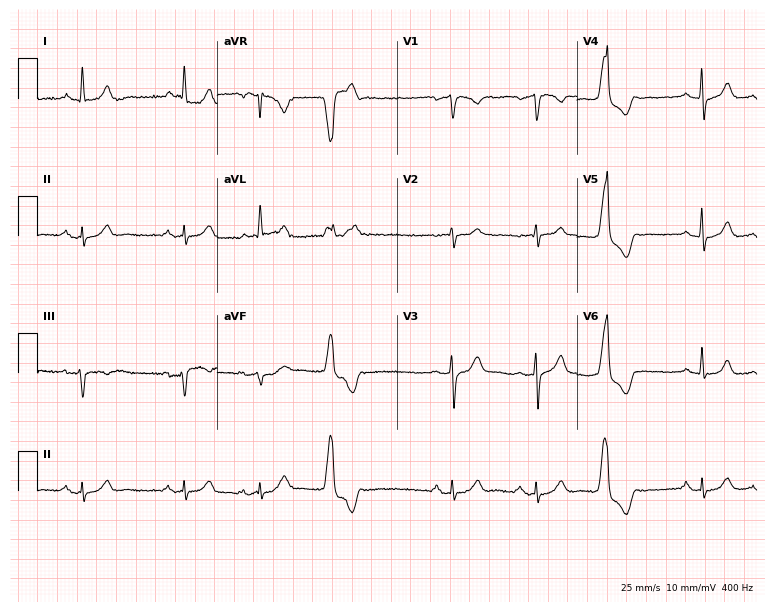
Resting 12-lead electrocardiogram. Patient: a 61-year-old man. None of these six findings is recorded: first-degree AV block, right bundle branch block (RBBB), left bundle branch block (LBBB), sinus bradycardia, atrial fibrillation (AF), sinus tachycardia.